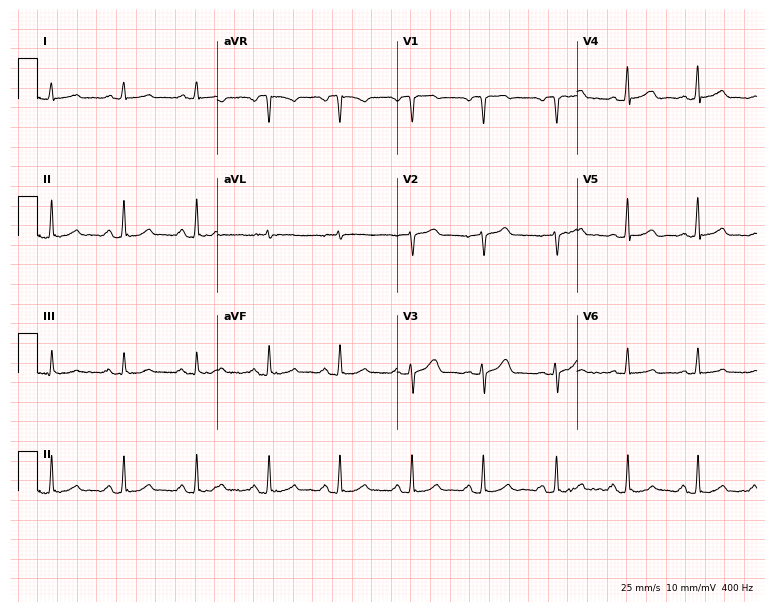
12-lead ECG from a male patient, 63 years old. Labelled as a normal ECG.